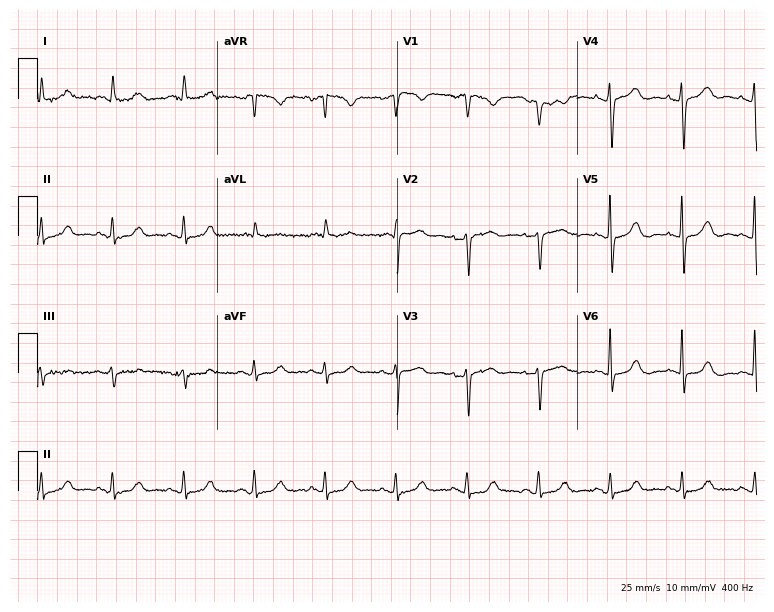
Resting 12-lead electrocardiogram (7.3-second recording at 400 Hz). Patient: a female, 76 years old. None of these six findings is recorded: first-degree AV block, right bundle branch block, left bundle branch block, sinus bradycardia, atrial fibrillation, sinus tachycardia.